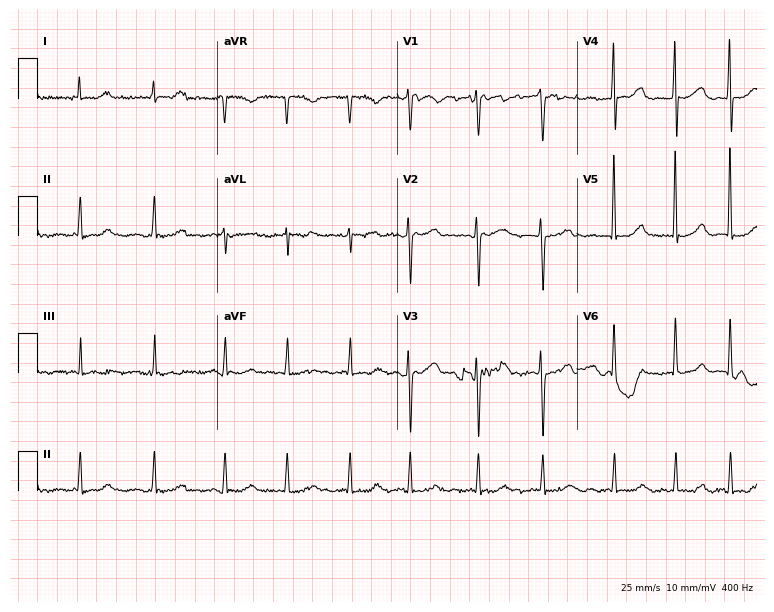
Standard 12-lead ECG recorded from a 74-year-old woman. None of these six findings is recorded: first-degree AV block, right bundle branch block, left bundle branch block, sinus bradycardia, atrial fibrillation, sinus tachycardia.